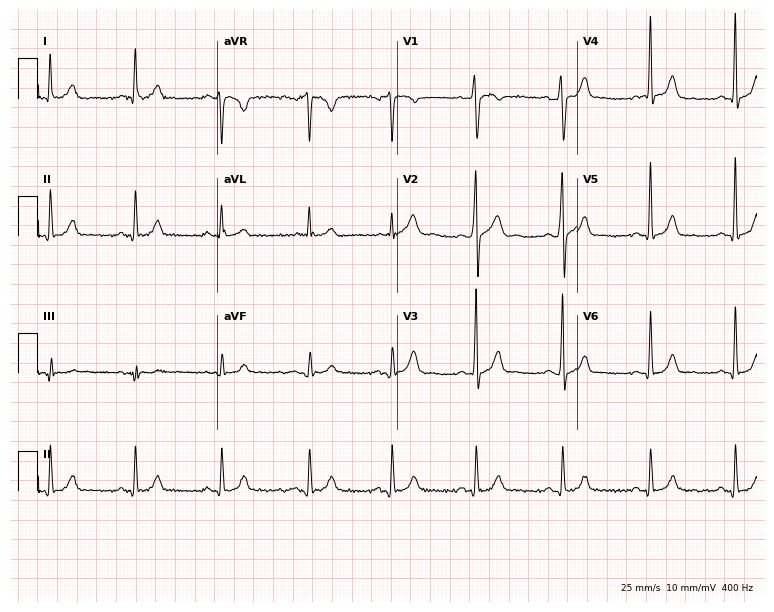
12-lead ECG from a male, 26 years old. Recorded interpretation: within normal limits.